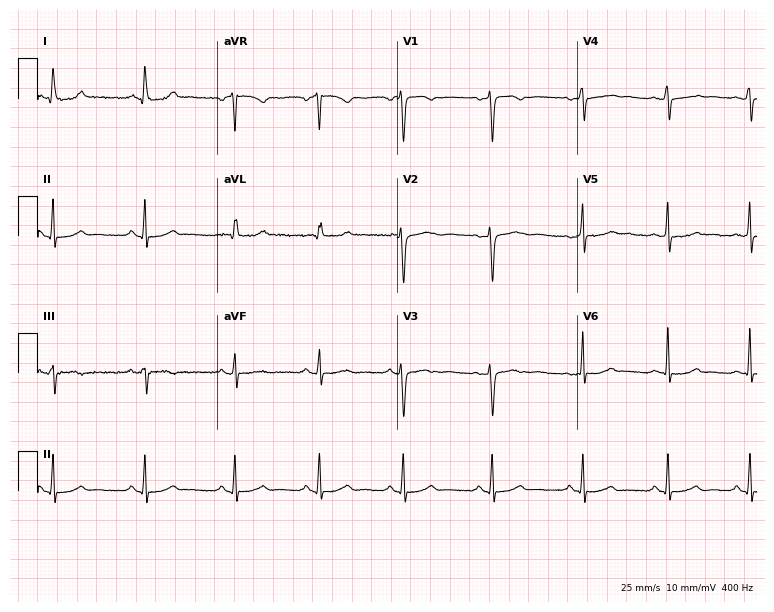
12-lead ECG from a 45-year-old woman (7.3-second recording at 400 Hz). No first-degree AV block, right bundle branch block, left bundle branch block, sinus bradycardia, atrial fibrillation or sinus tachycardia recorded for this tracing. Only these six findings were labelled.